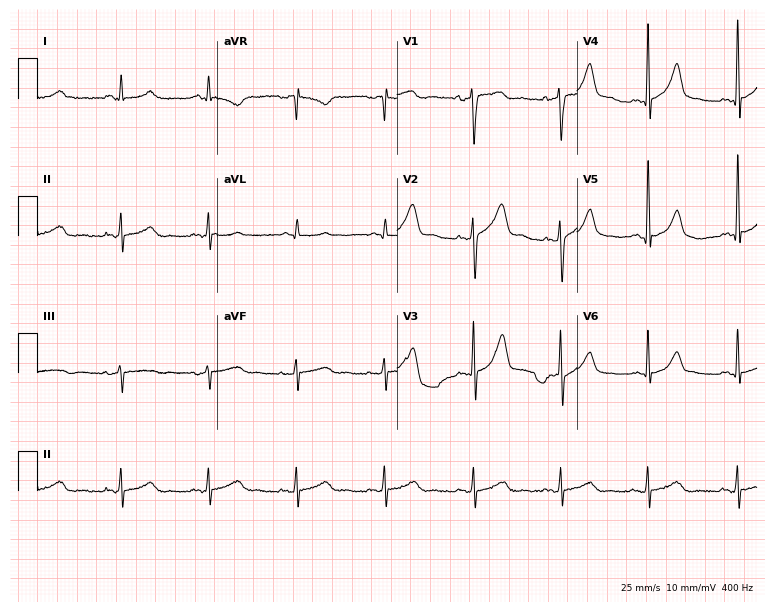
Resting 12-lead electrocardiogram. Patient: a man, 55 years old. None of these six findings is recorded: first-degree AV block, right bundle branch block, left bundle branch block, sinus bradycardia, atrial fibrillation, sinus tachycardia.